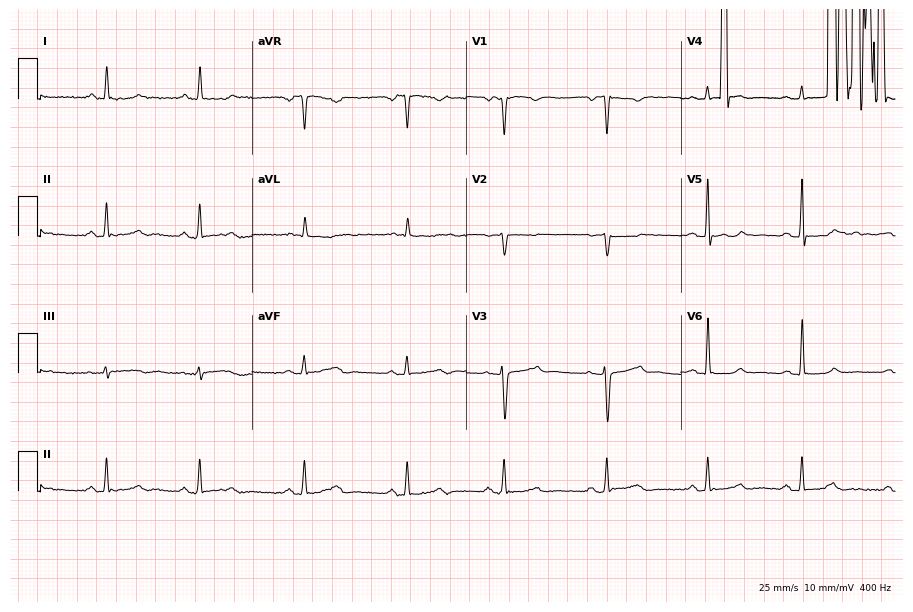
Standard 12-lead ECG recorded from a 31-year-old female (8.7-second recording at 400 Hz). None of these six findings is recorded: first-degree AV block, right bundle branch block (RBBB), left bundle branch block (LBBB), sinus bradycardia, atrial fibrillation (AF), sinus tachycardia. Findings outside these six are not listed.